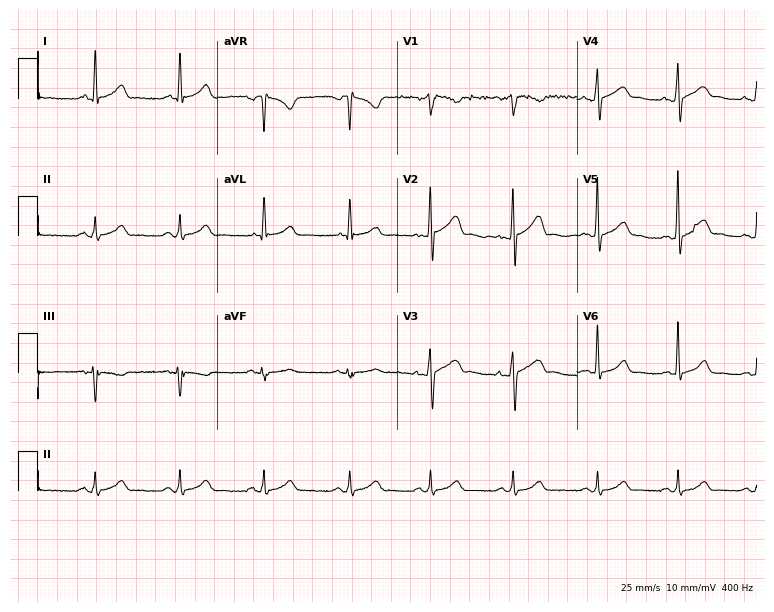
Standard 12-lead ECG recorded from a 49-year-old man (7.3-second recording at 400 Hz). Read as a normal ECG.